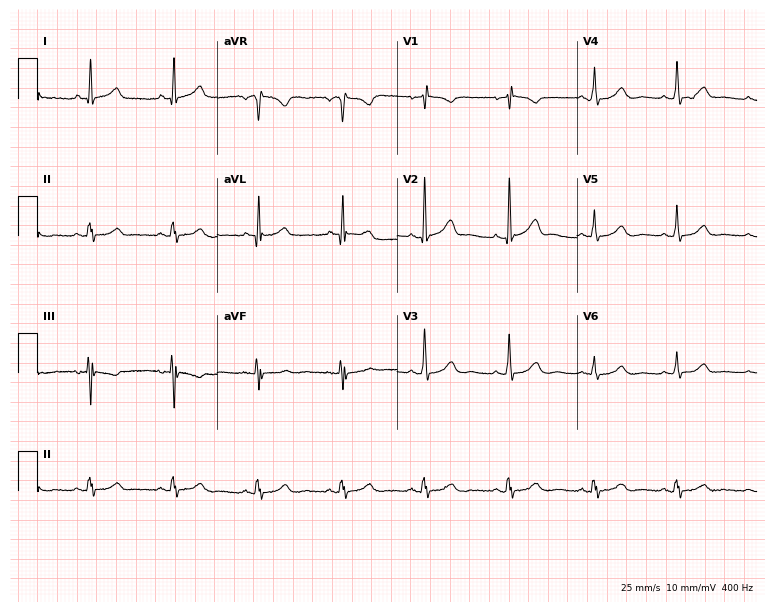
12-lead ECG from a female patient, 66 years old (7.3-second recording at 400 Hz). Recorded interpretation: within normal limits.